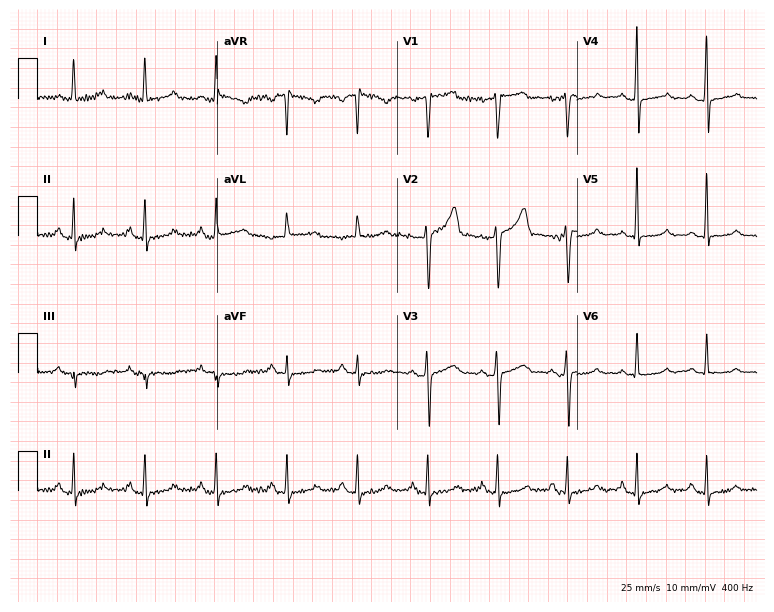
12-lead ECG (7.3-second recording at 400 Hz) from a female patient, 53 years old. Screened for six findings — first-degree AV block, right bundle branch block, left bundle branch block, sinus bradycardia, atrial fibrillation, sinus tachycardia — none is recorded. Findings outside these six are not listed.